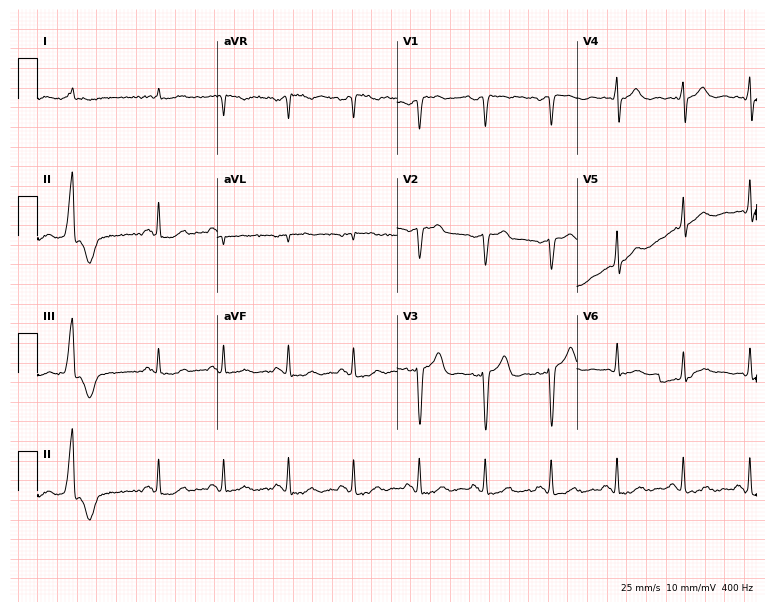
Electrocardiogram (7.3-second recording at 400 Hz), a 79-year-old male. Of the six screened findings (first-degree AV block, right bundle branch block, left bundle branch block, sinus bradycardia, atrial fibrillation, sinus tachycardia), none is recorded. Other findings, if any, are not listed.